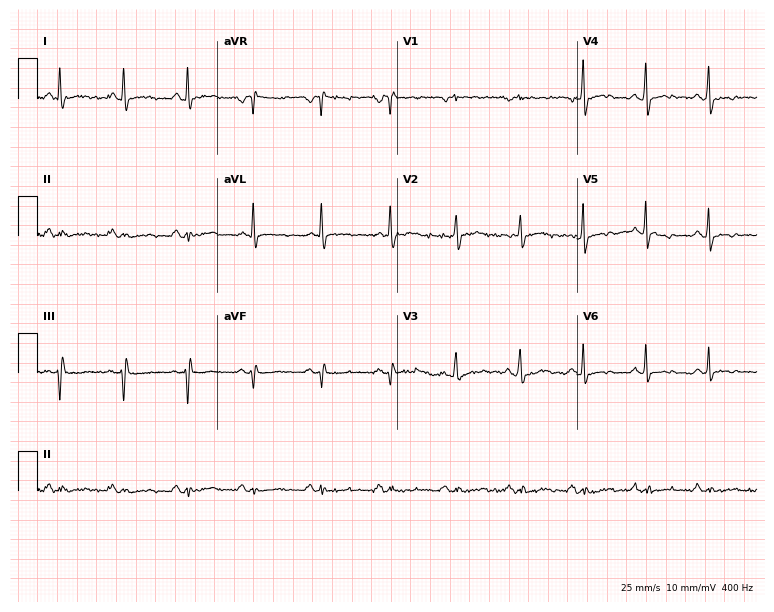
Resting 12-lead electrocardiogram (7.3-second recording at 400 Hz). Patient: a 63-year-old male. None of these six findings is recorded: first-degree AV block, right bundle branch block, left bundle branch block, sinus bradycardia, atrial fibrillation, sinus tachycardia.